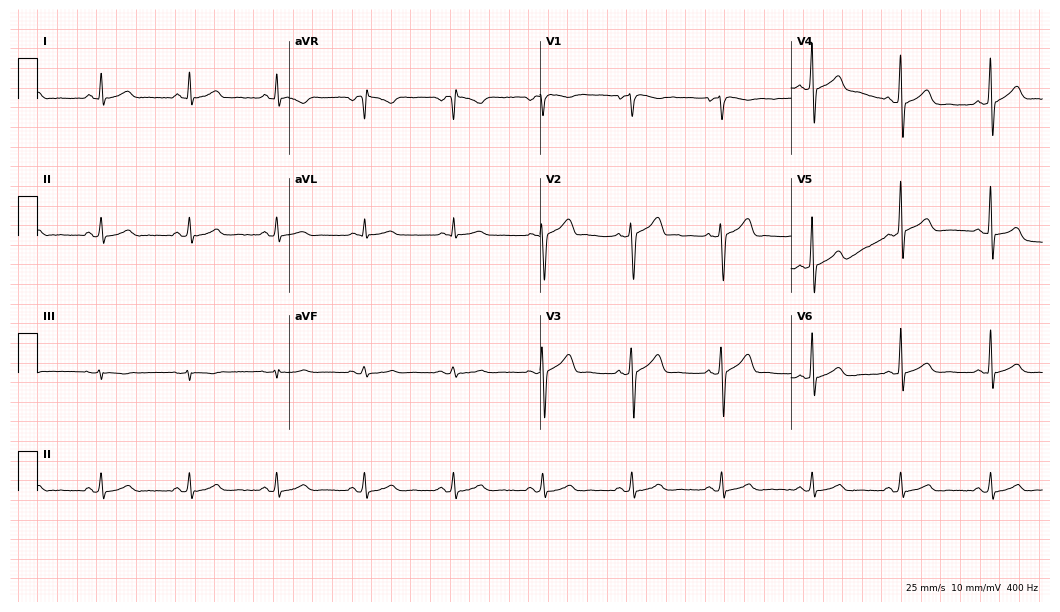
Standard 12-lead ECG recorded from a 52-year-old male (10.2-second recording at 400 Hz). Read as a normal ECG.